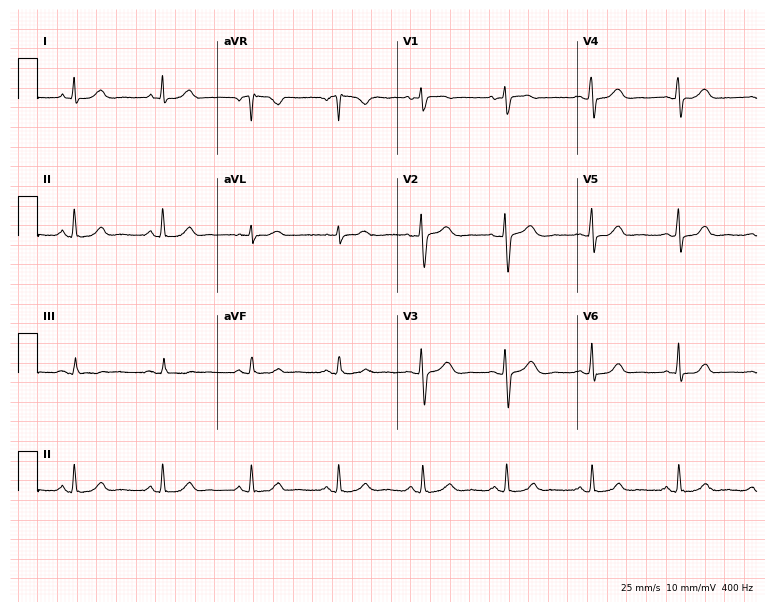
Electrocardiogram, a female patient, 44 years old. Overall reading on record: normal ECG.